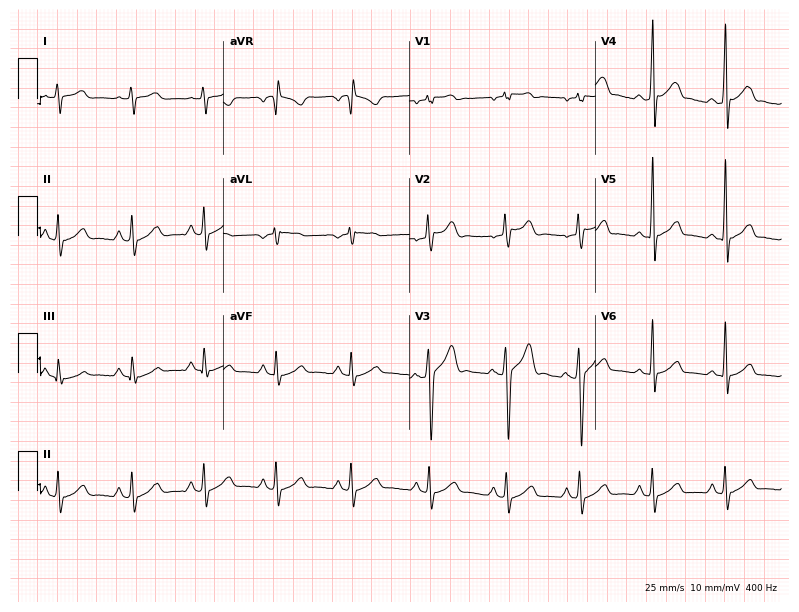
Resting 12-lead electrocardiogram. Patient: a male, 20 years old. None of these six findings is recorded: first-degree AV block, right bundle branch block (RBBB), left bundle branch block (LBBB), sinus bradycardia, atrial fibrillation (AF), sinus tachycardia. Only these six findings were labelled.